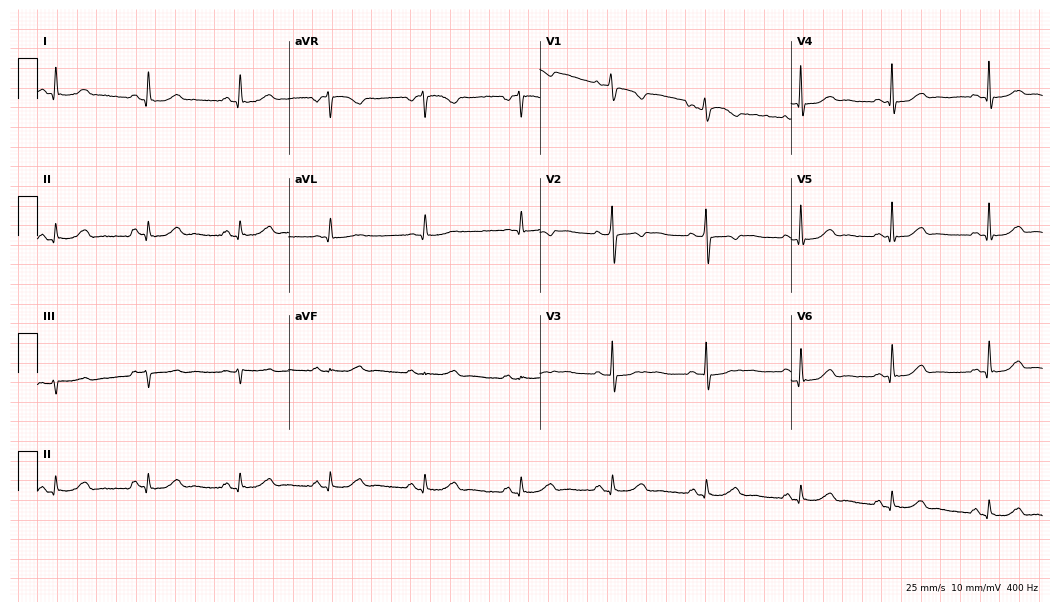
Standard 12-lead ECG recorded from a 38-year-old male patient. Read as a normal ECG.